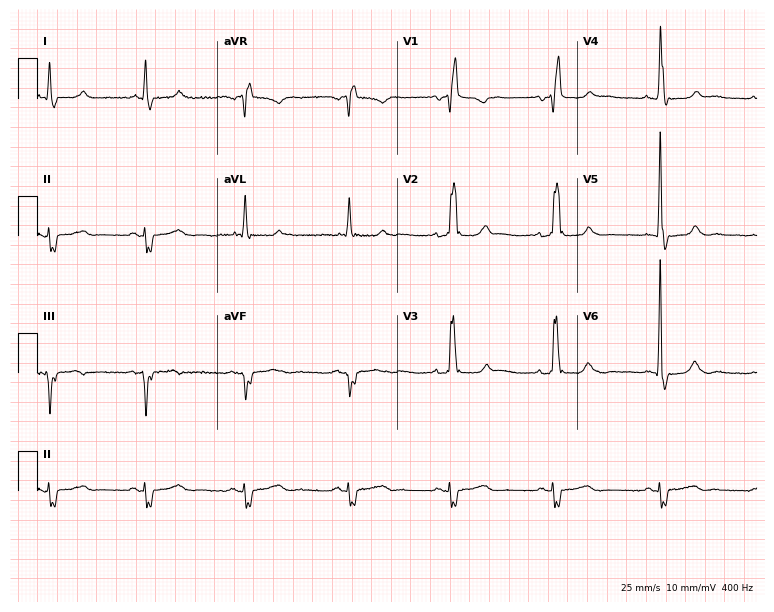
Standard 12-lead ECG recorded from a male, 70 years old (7.3-second recording at 400 Hz). The tracing shows right bundle branch block.